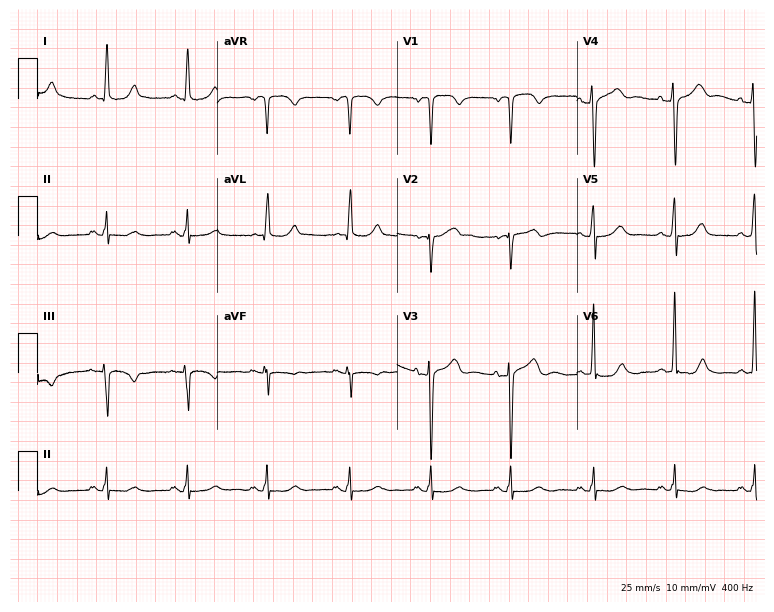
Standard 12-lead ECG recorded from a 79-year-old male patient (7.3-second recording at 400 Hz). None of these six findings is recorded: first-degree AV block, right bundle branch block, left bundle branch block, sinus bradycardia, atrial fibrillation, sinus tachycardia.